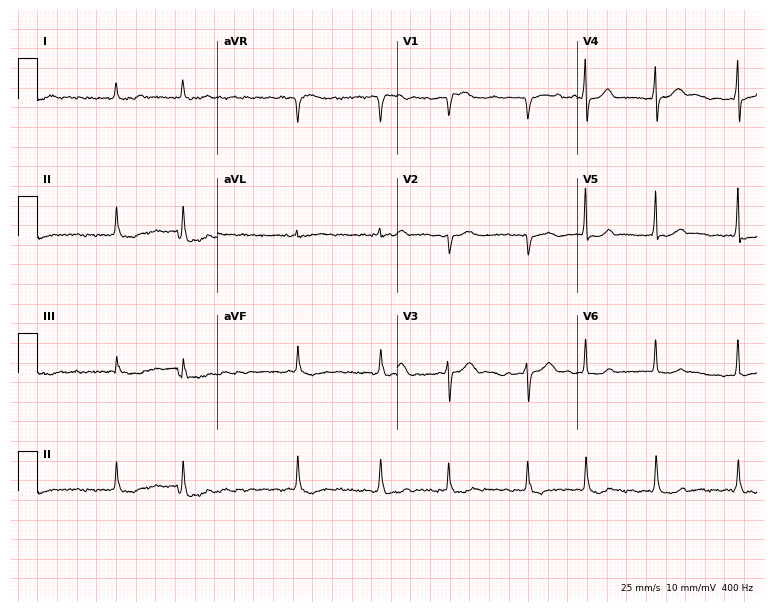
Electrocardiogram, a man, 66 years old. Interpretation includes atrial fibrillation.